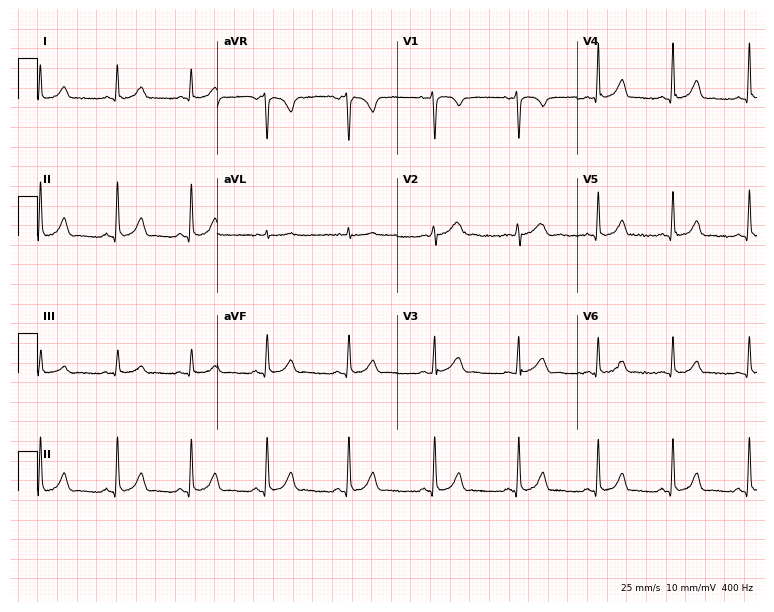
12-lead ECG from a 31-year-old female patient. Recorded interpretation: within normal limits.